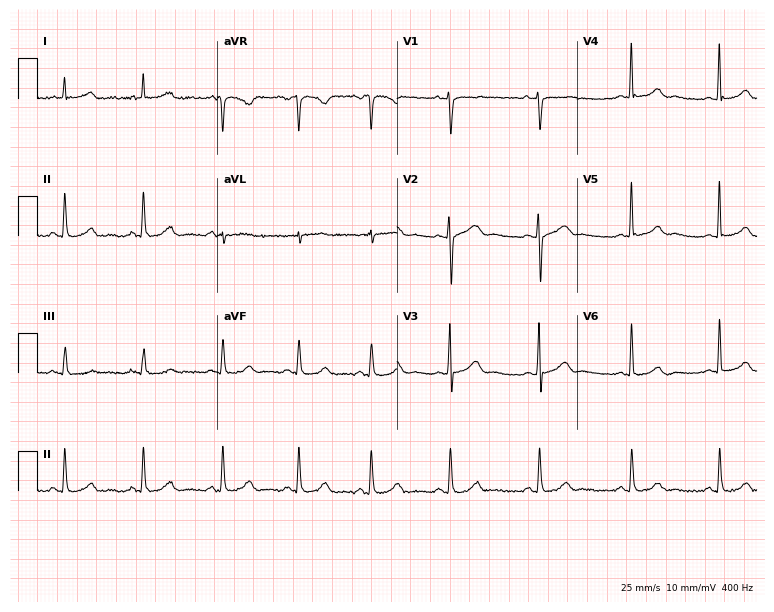
ECG — a 36-year-old female. Labelled as a normal ECG.